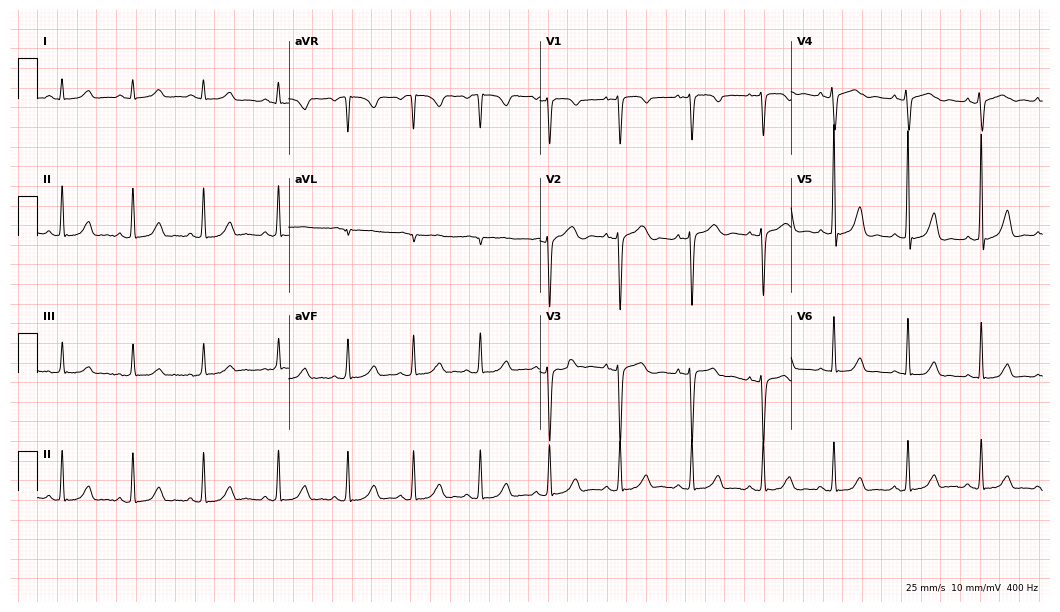
Resting 12-lead electrocardiogram. Patient: a female, 32 years old. Read as a normal ECG.